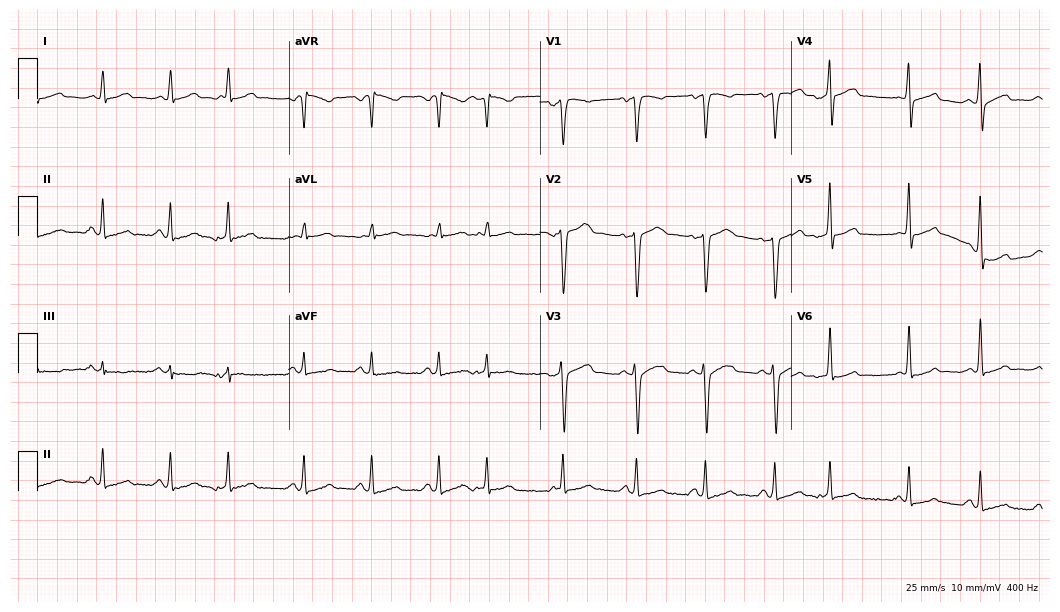
Standard 12-lead ECG recorded from a 41-year-old male patient (10.2-second recording at 400 Hz). None of these six findings is recorded: first-degree AV block, right bundle branch block, left bundle branch block, sinus bradycardia, atrial fibrillation, sinus tachycardia. Findings outside these six are not listed.